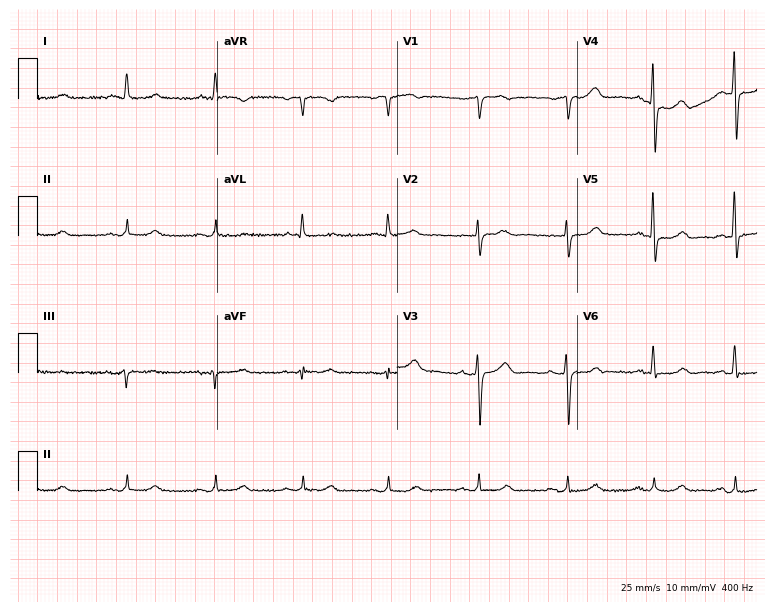
12-lead ECG (7.3-second recording at 400 Hz) from a 75-year-old woman. Screened for six findings — first-degree AV block, right bundle branch block, left bundle branch block, sinus bradycardia, atrial fibrillation, sinus tachycardia — none is recorded.